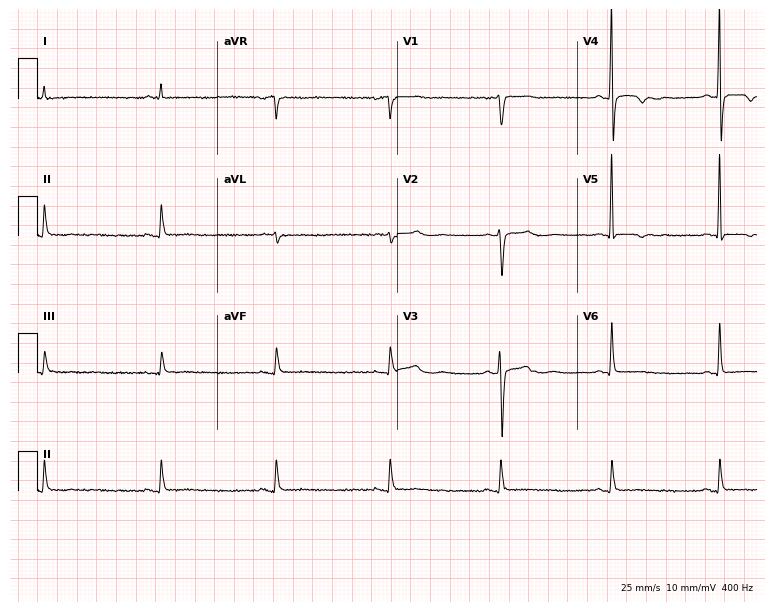
Electrocardiogram, a 61-year-old man. Of the six screened findings (first-degree AV block, right bundle branch block, left bundle branch block, sinus bradycardia, atrial fibrillation, sinus tachycardia), none is recorded. Other findings, if any, are not listed.